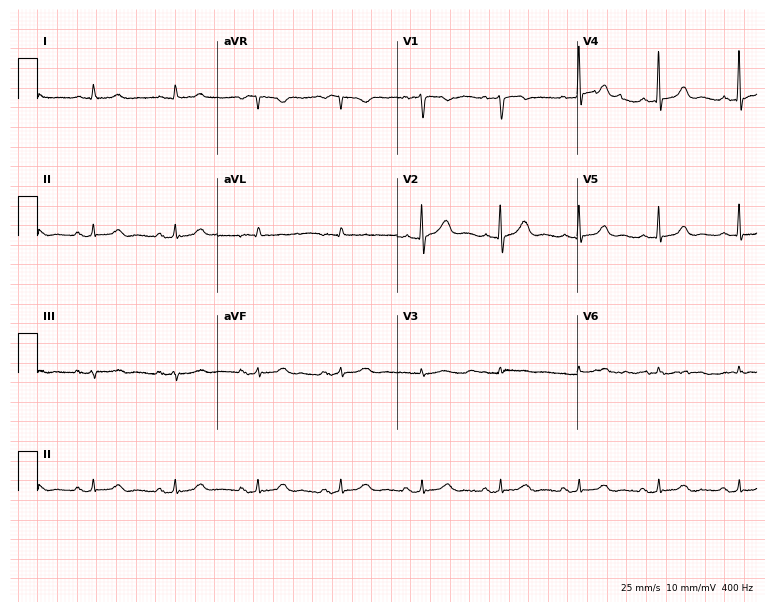
Electrocardiogram (7.3-second recording at 400 Hz), a 73-year-old female patient. Of the six screened findings (first-degree AV block, right bundle branch block, left bundle branch block, sinus bradycardia, atrial fibrillation, sinus tachycardia), none is recorded. Other findings, if any, are not listed.